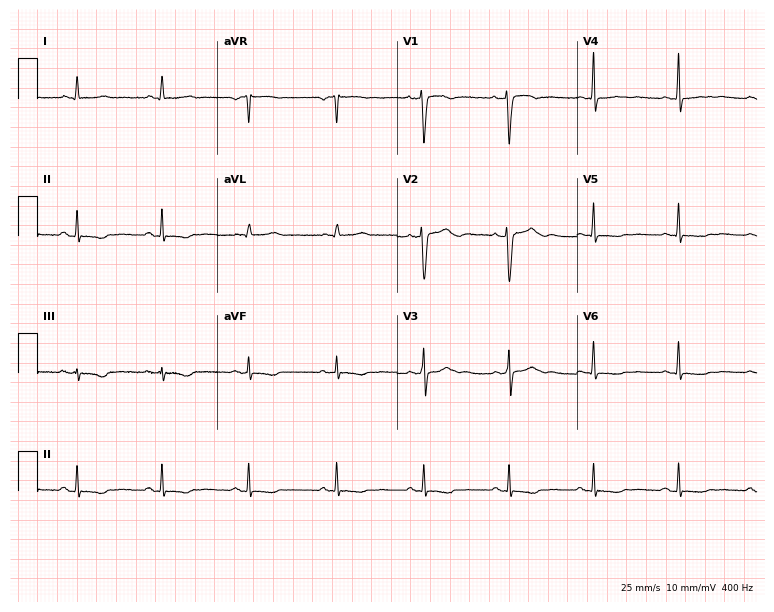
12-lead ECG (7.3-second recording at 400 Hz) from a female patient, 41 years old. Screened for six findings — first-degree AV block, right bundle branch block, left bundle branch block, sinus bradycardia, atrial fibrillation, sinus tachycardia — none is recorded. Findings outside these six are not listed.